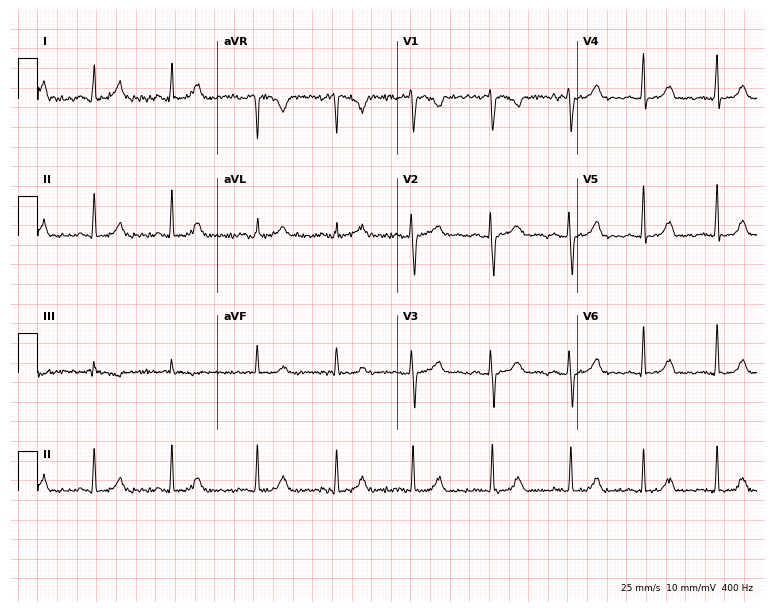
Resting 12-lead electrocardiogram. Patient: a female, 28 years old. Read as a normal ECG.